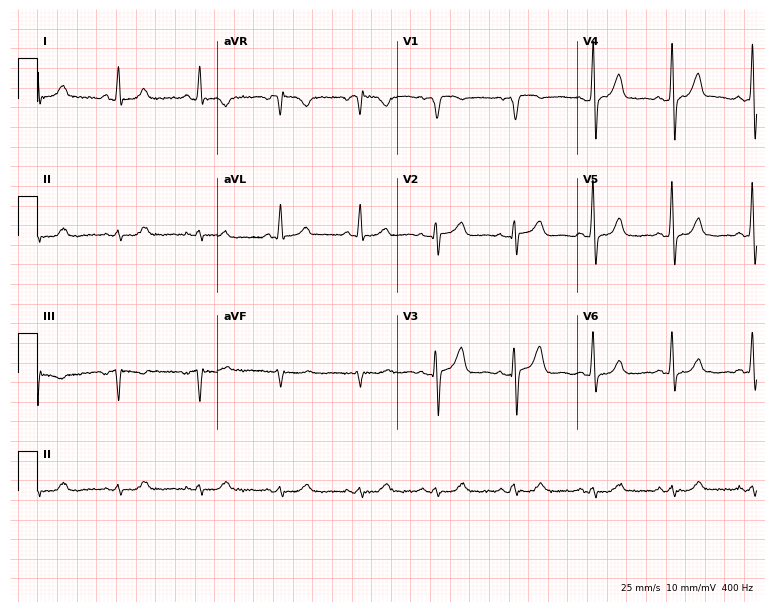
Electrocardiogram, a 67-year-old male patient. Overall reading on record: normal ECG.